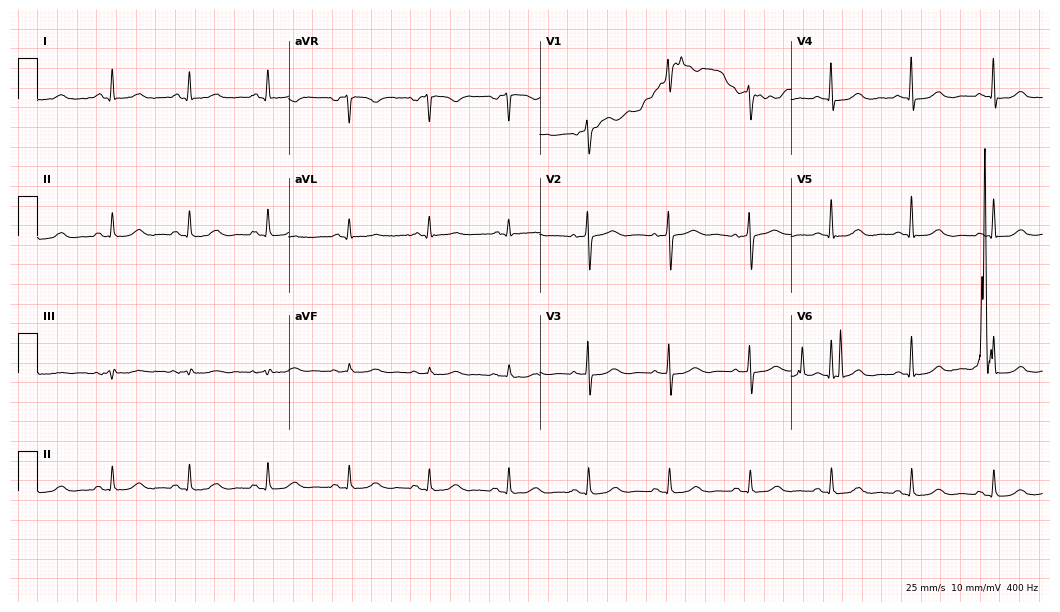
Electrocardiogram, a 71-year-old female patient. Overall reading on record: normal ECG.